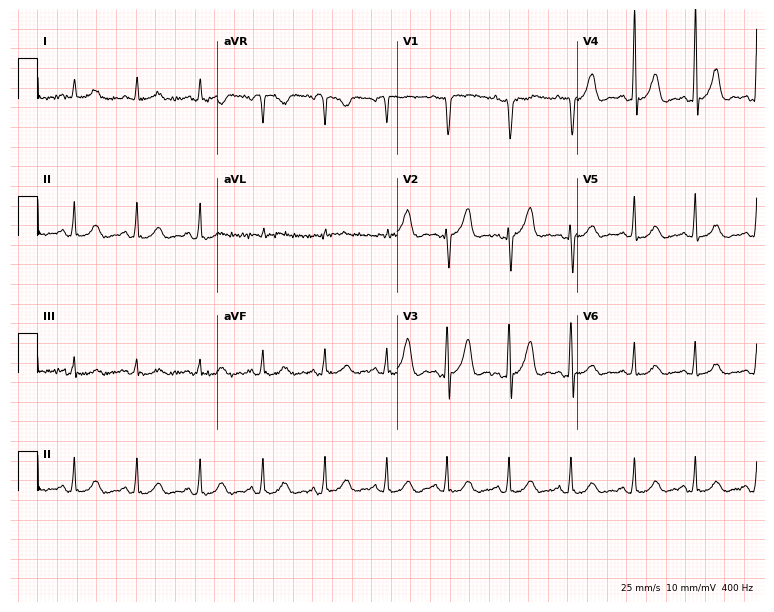
ECG (7.3-second recording at 400 Hz) — a 73-year-old male patient. Labelled as a normal ECG.